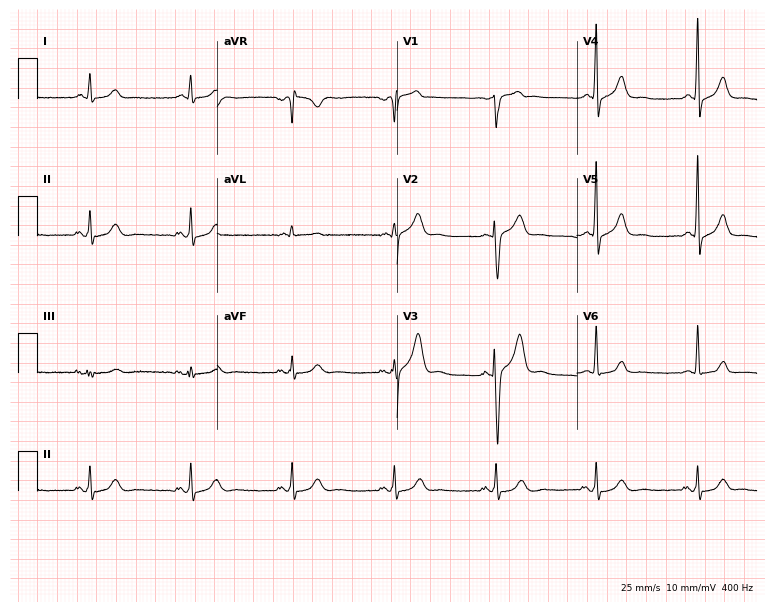
12-lead ECG from a 61-year-old man. Labelled as a normal ECG.